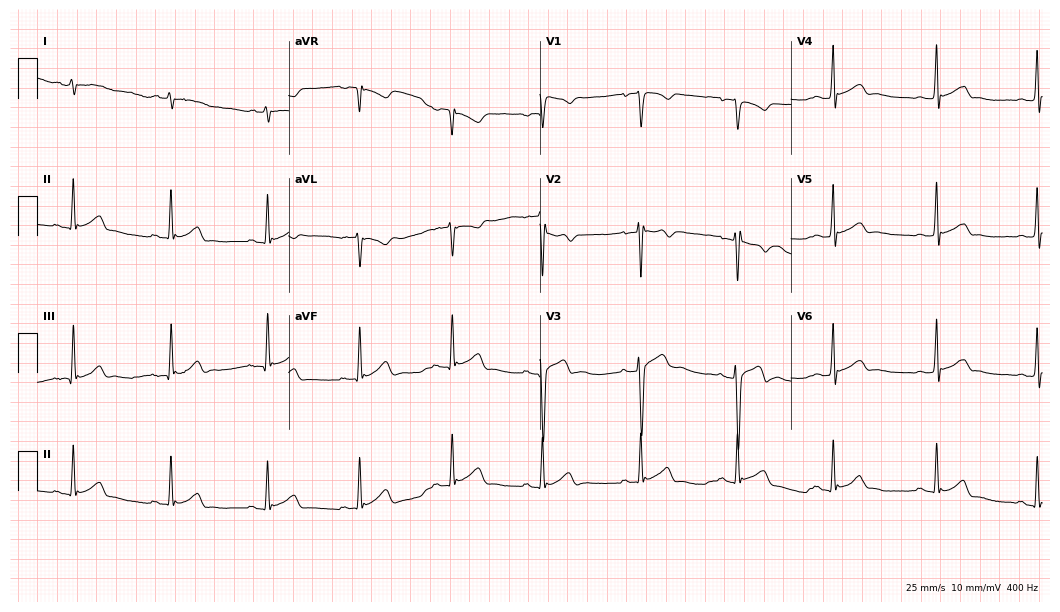
12-lead ECG from a man, 19 years old. Labelled as a normal ECG.